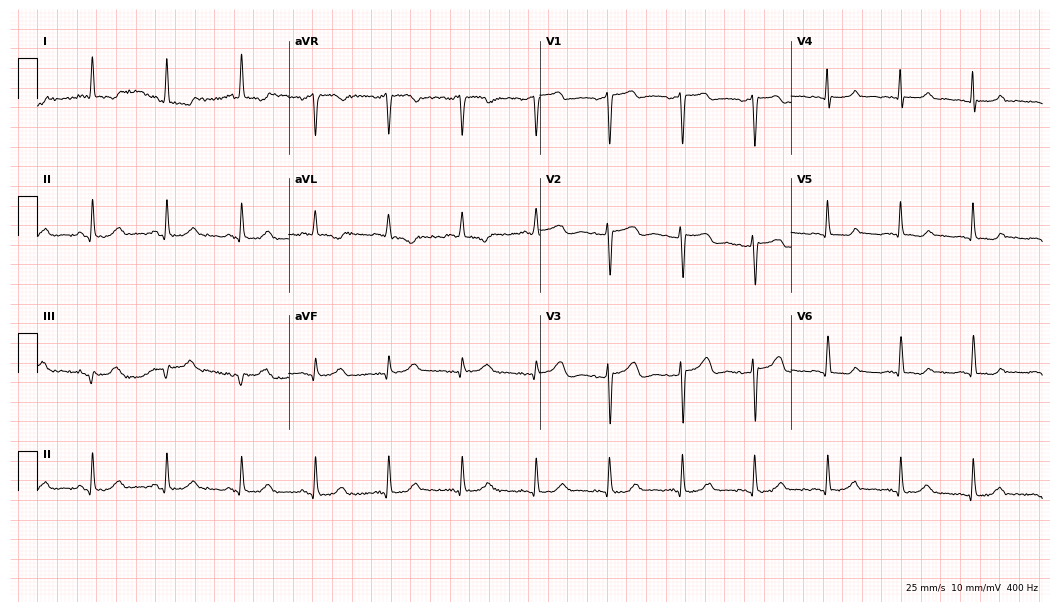
ECG — a woman, 75 years old. Screened for six findings — first-degree AV block, right bundle branch block (RBBB), left bundle branch block (LBBB), sinus bradycardia, atrial fibrillation (AF), sinus tachycardia — none is recorded. Other findings, if any, are not listed.